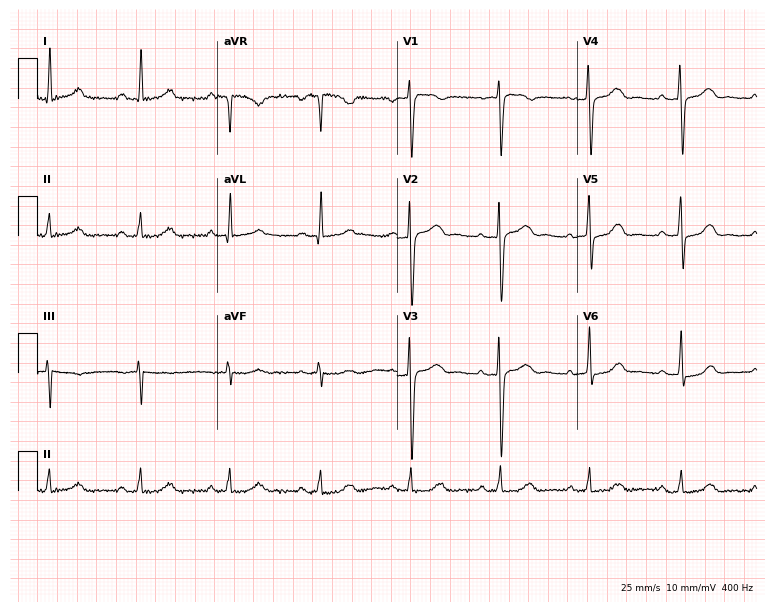
Electrocardiogram, a 50-year-old female. Overall reading on record: normal ECG.